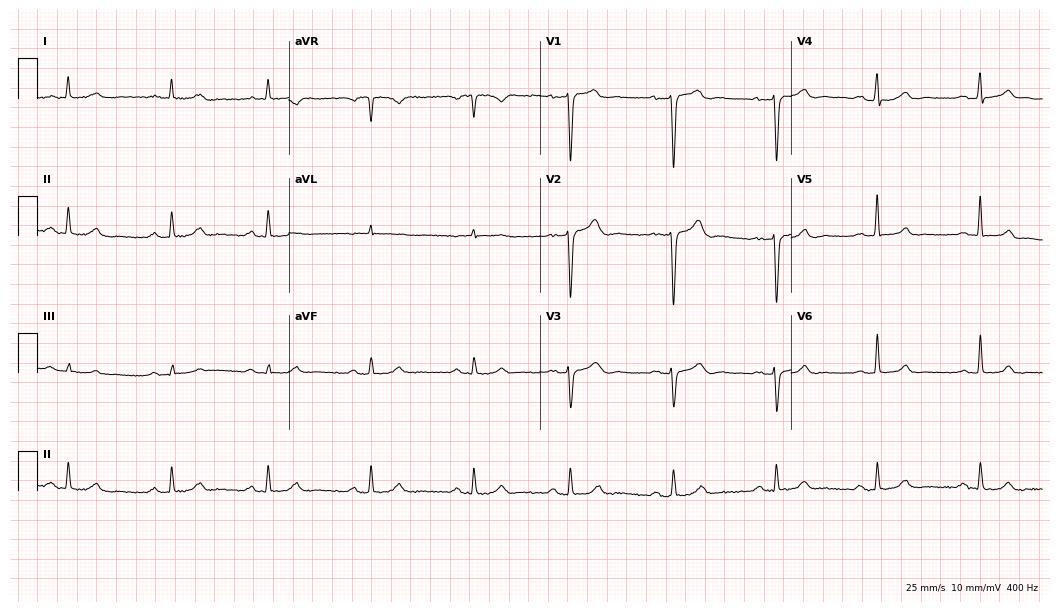
Electrocardiogram, a 36-year-old man. Overall reading on record: normal ECG.